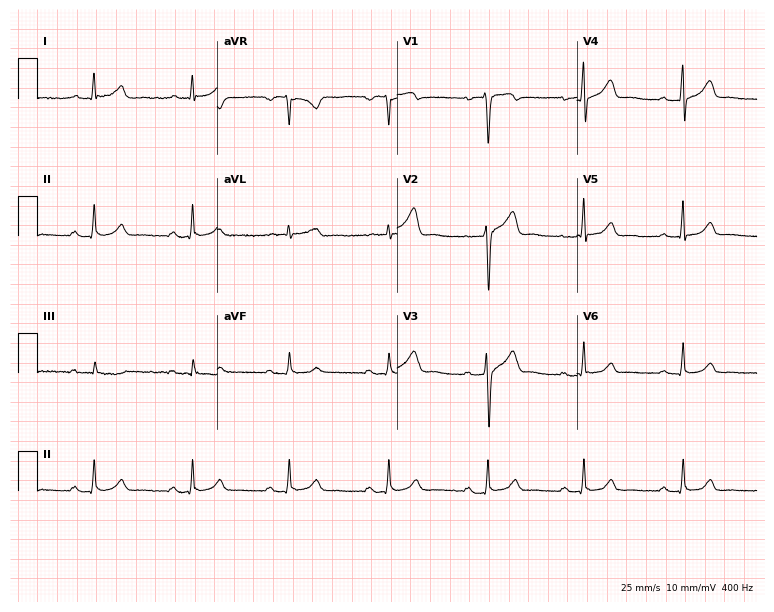
Resting 12-lead electrocardiogram (7.3-second recording at 400 Hz). Patient: a 51-year-old male. Read as a normal ECG.